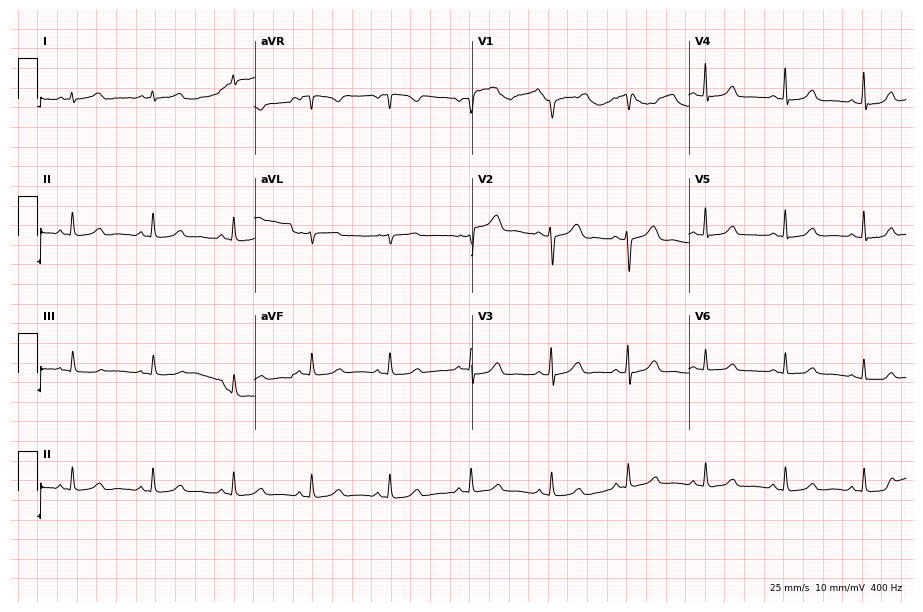
12-lead ECG from a 49-year-old woman. Recorded interpretation: within normal limits.